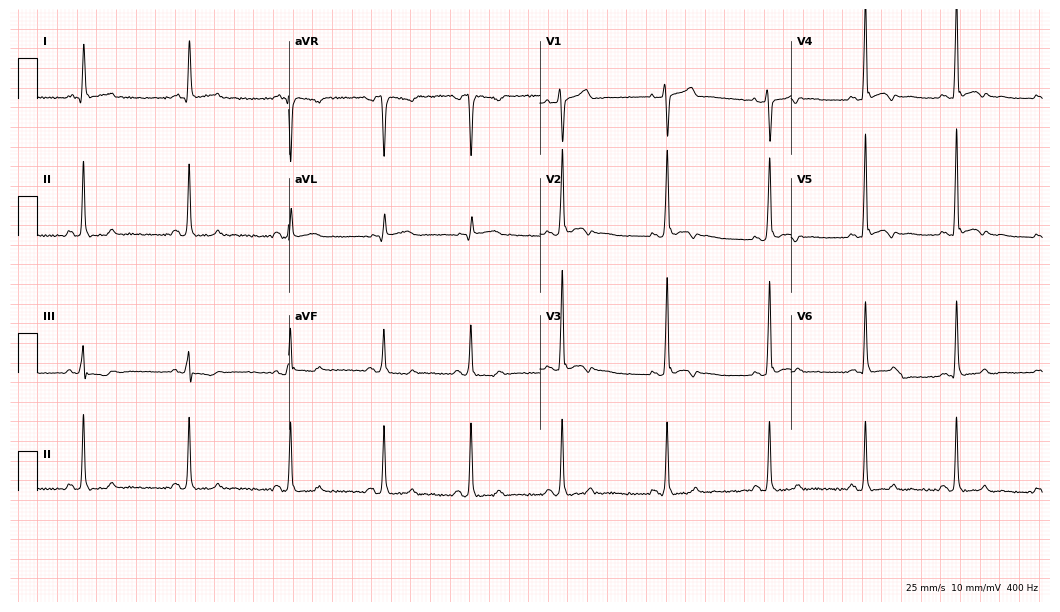
12-lead ECG from a male patient, 43 years old (10.2-second recording at 400 Hz). No first-degree AV block, right bundle branch block, left bundle branch block, sinus bradycardia, atrial fibrillation or sinus tachycardia recorded for this tracing.